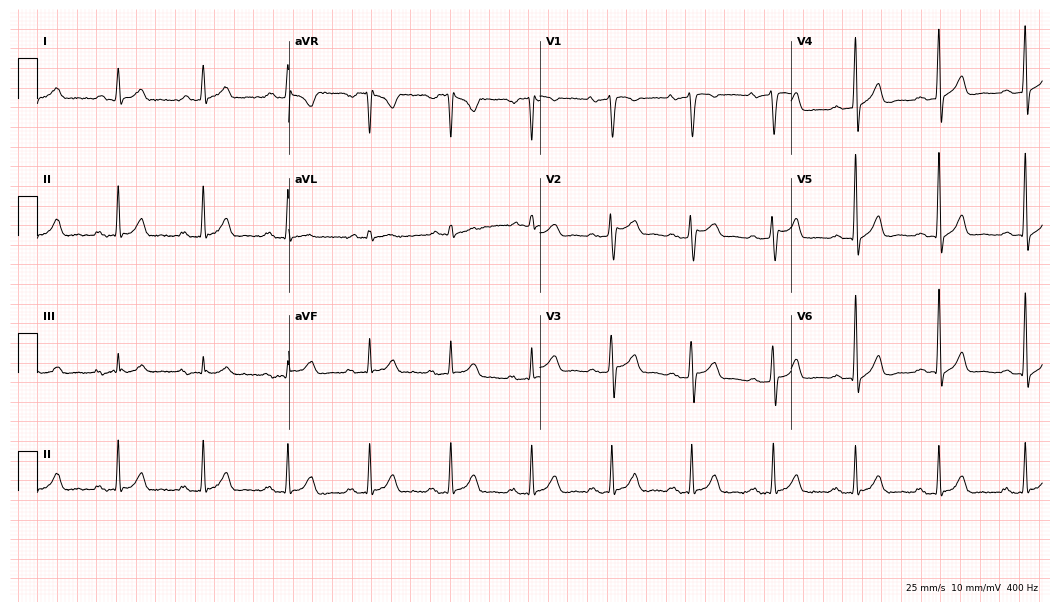
Electrocardiogram (10.2-second recording at 400 Hz), a man, 27 years old. Interpretation includes first-degree AV block.